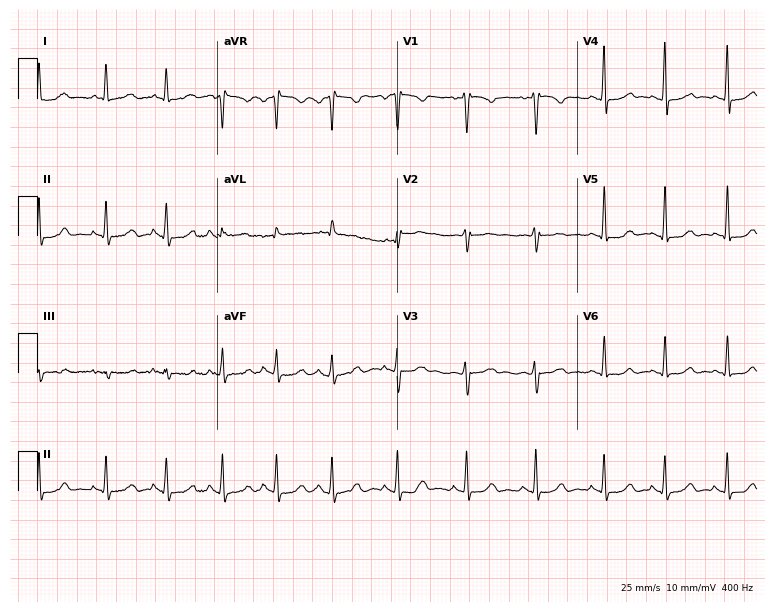
ECG (7.3-second recording at 400 Hz) — a 19-year-old female patient. Labelled as a normal ECG.